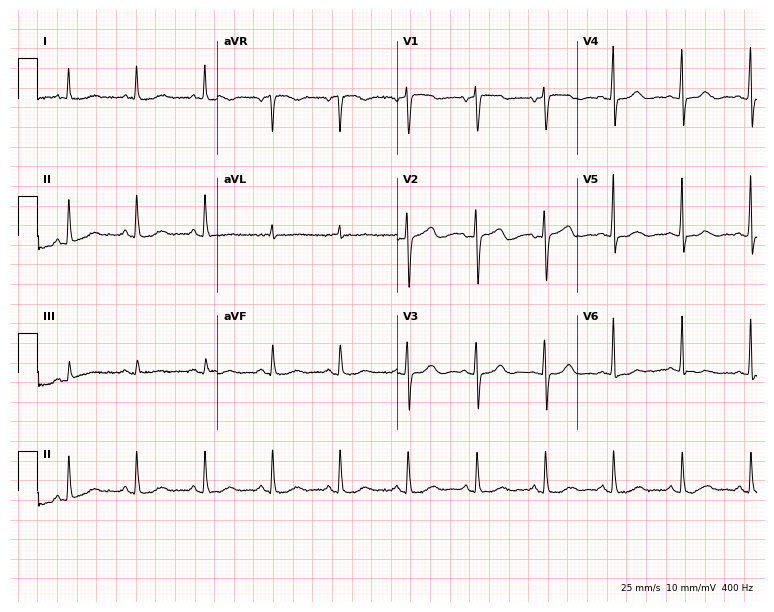
ECG — a female, 67 years old. Screened for six findings — first-degree AV block, right bundle branch block, left bundle branch block, sinus bradycardia, atrial fibrillation, sinus tachycardia — none is recorded.